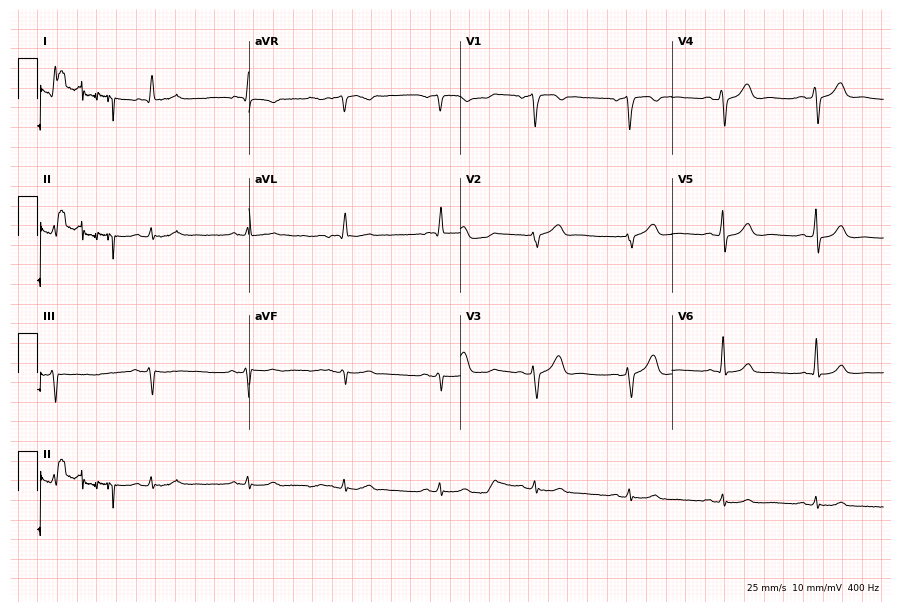
Resting 12-lead electrocardiogram (8.6-second recording at 400 Hz). Patient: a 70-year-old male. Read as a normal ECG.